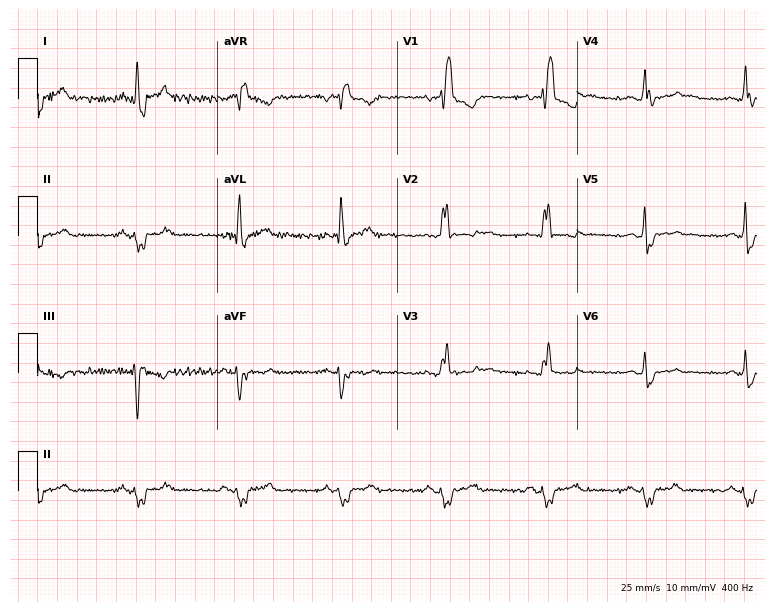
Electrocardiogram, a 47-year-old male. Interpretation includes right bundle branch block.